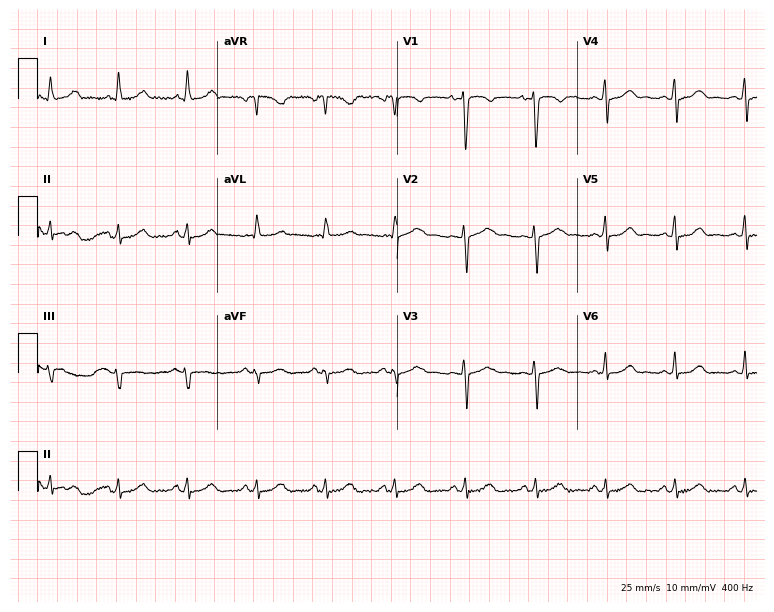
12-lead ECG from a female, 49 years old. Labelled as a normal ECG.